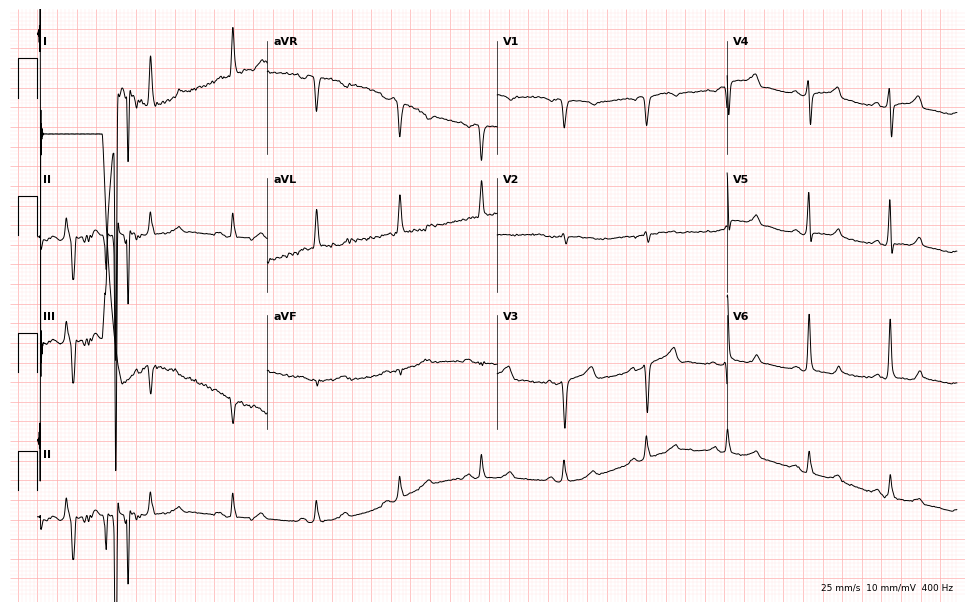
Standard 12-lead ECG recorded from a female, 83 years old (9.4-second recording at 400 Hz). None of these six findings is recorded: first-degree AV block, right bundle branch block (RBBB), left bundle branch block (LBBB), sinus bradycardia, atrial fibrillation (AF), sinus tachycardia.